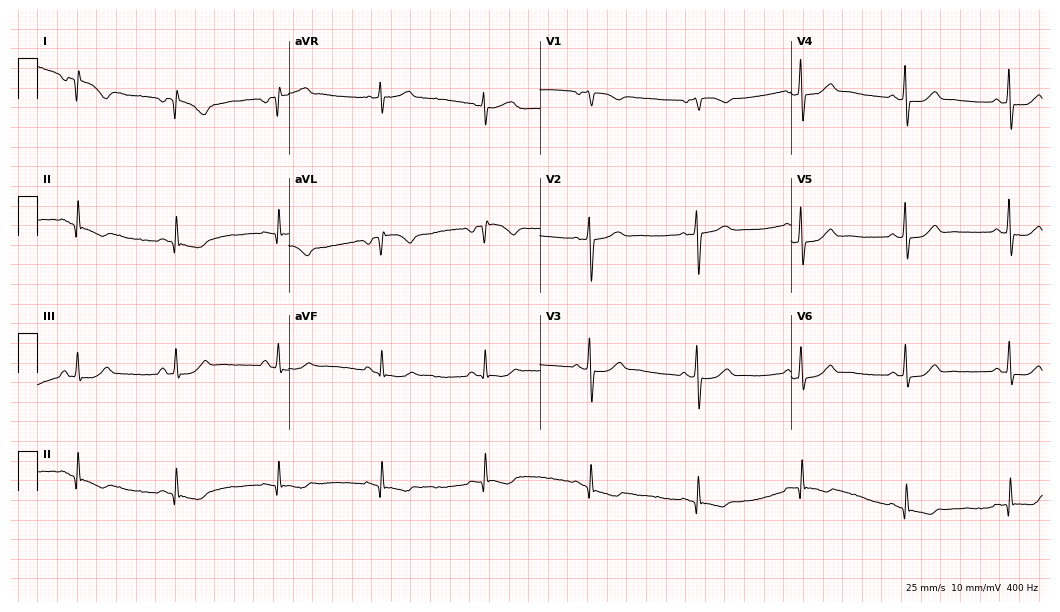
Electrocardiogram (10.2-second recording at 400 Hz), a woman, 64 years old. Of the six screened findings (first-degree AV block, right bundle branch block, left bundle branch block, sinus bradycardia, atrial fibrillation, sinus tachycardia), none is recorded.